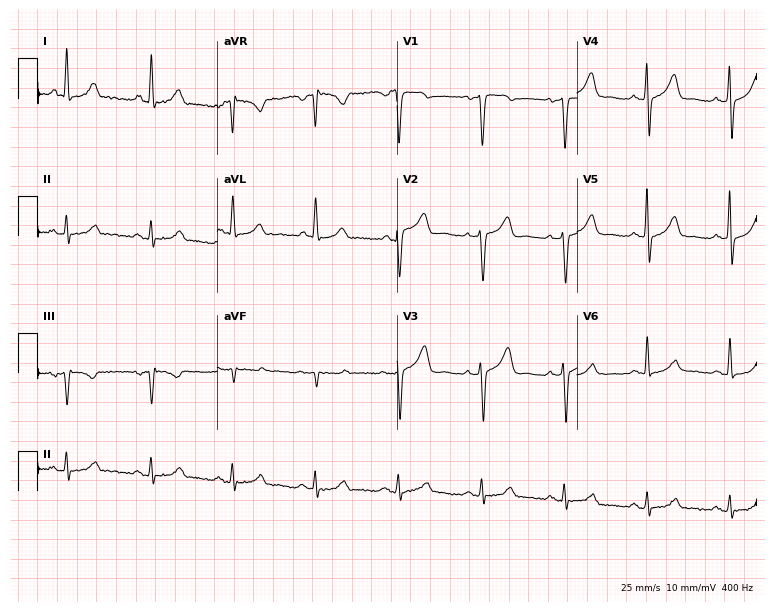
ECG (7.3-second recording at 400 Hz) — a woman, 40 years old. Screened for six findings — first-degree AV block, right bundle branch block (RBBB), left bundle branch block (LBBB), sinus bradycardia, atrial fibrillation (AF), sinus tachycardia — none is recorded. Other findings, if any, are not listed.